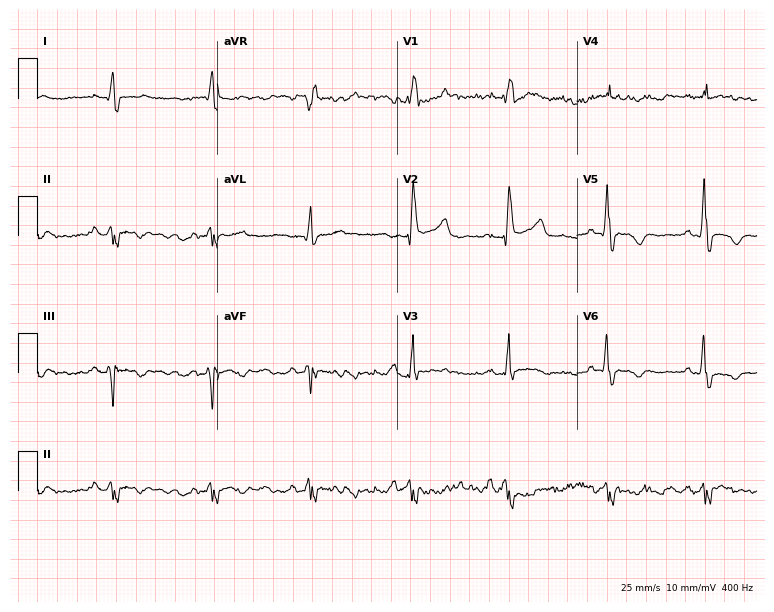
12-lead ECG from a female patient, 62 years old. Findings include right bundle branch block (RBBB).